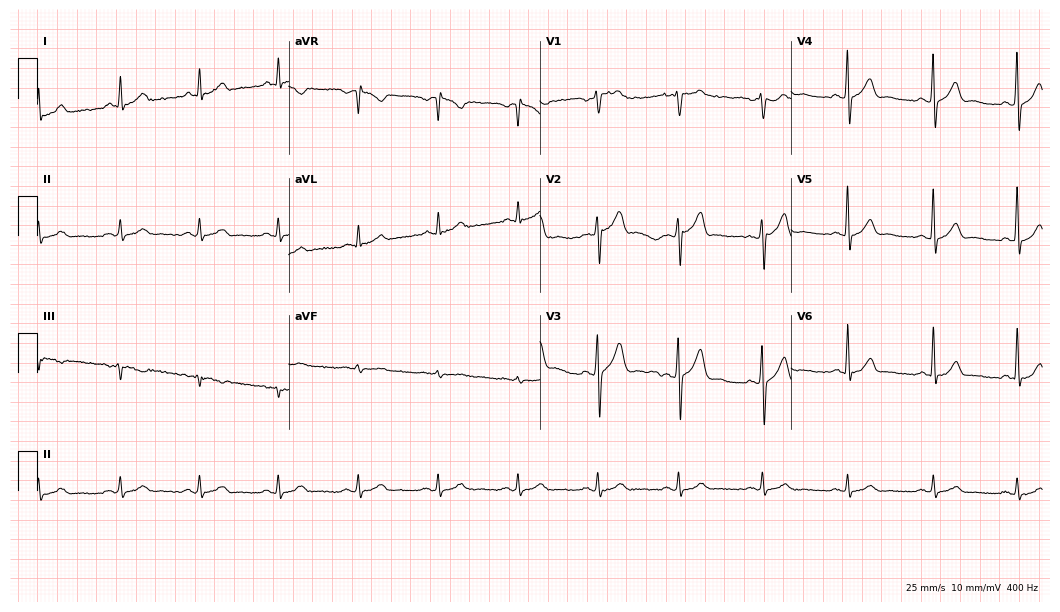
12-lead ECG from a 46-year-old male (10.2-second recording at 400 Hz). Recorded interpretation: within normal limits.